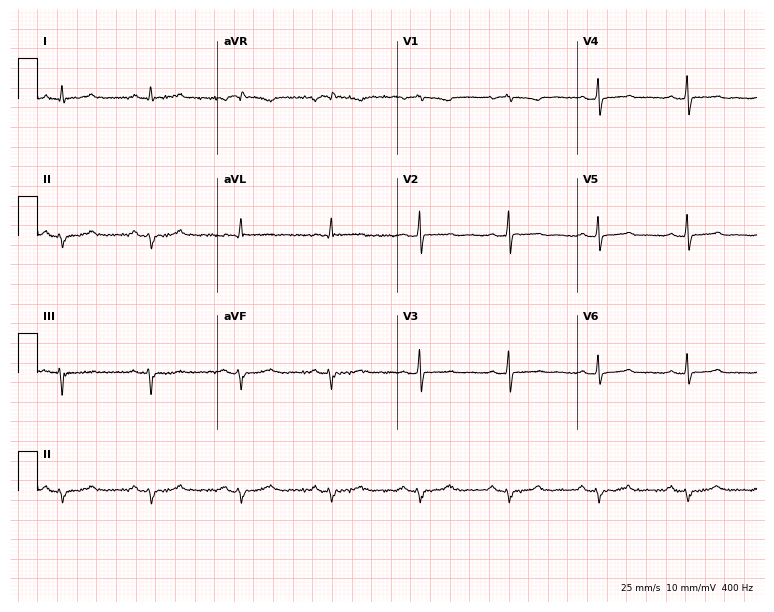
Electrocardiogram, a woman, 48 years old. Of the six screened findings (first-degree AV block, right bundle branch block, left bundle branch block, sinus bradycardia, atrial fibrillation, sinus tachycardia), none is recorded.